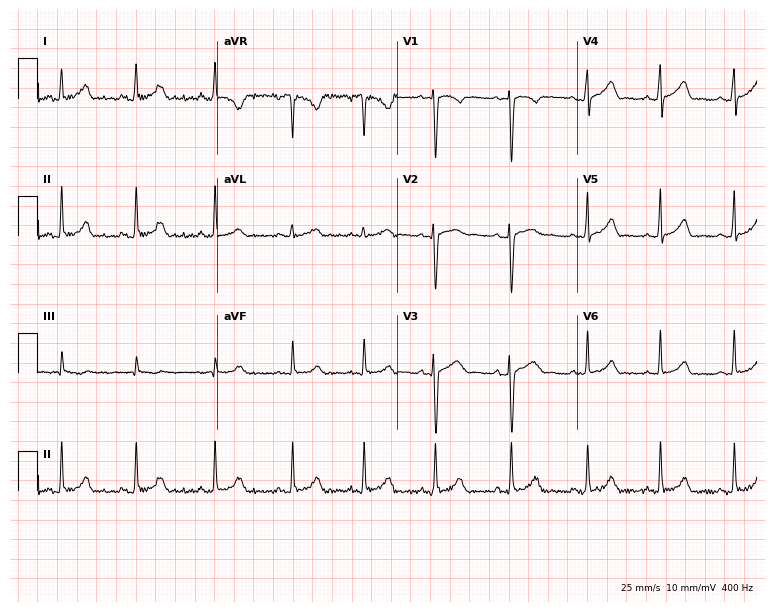
ECG — a woman, 24 years old. Labelled as a normal ECG.